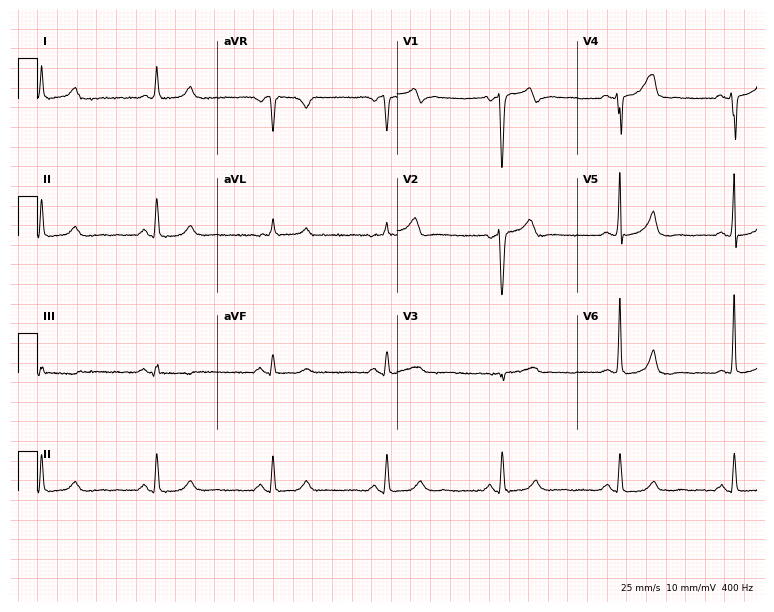
Standard 12-lead ECG recorded from a male, 81 years old (7.3-second recording at 400 Hz). Read as a normal ECG.